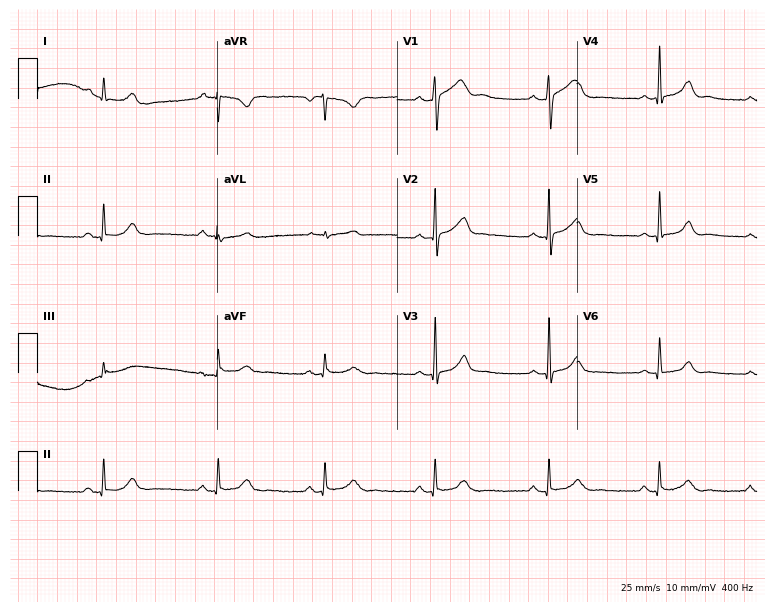
Resting 12-lead electrocardiogram (7.3-second recording at 400 Hz). Patient: a male, 37 years old. Read as a normal ECG.